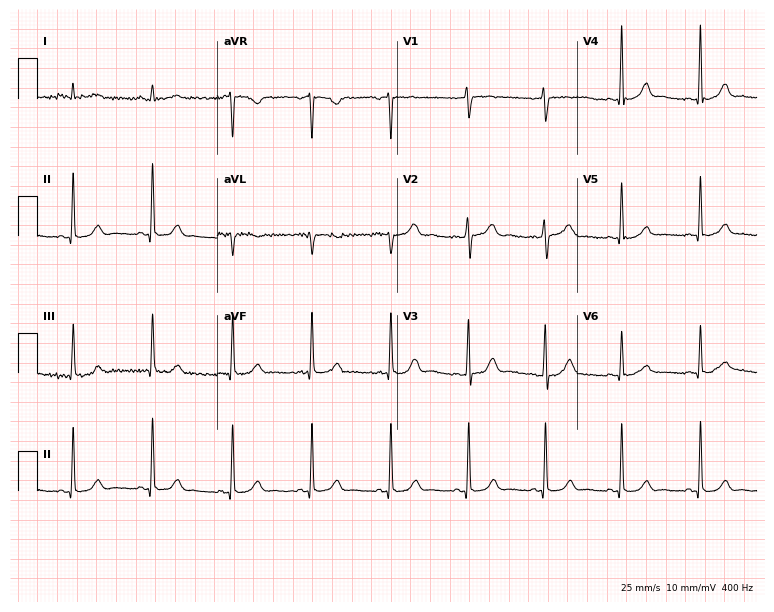
12-lead ECG (7.3-second recording at 400 Hz) from a 60-year-old female patient. Labelled as a normal ECG.